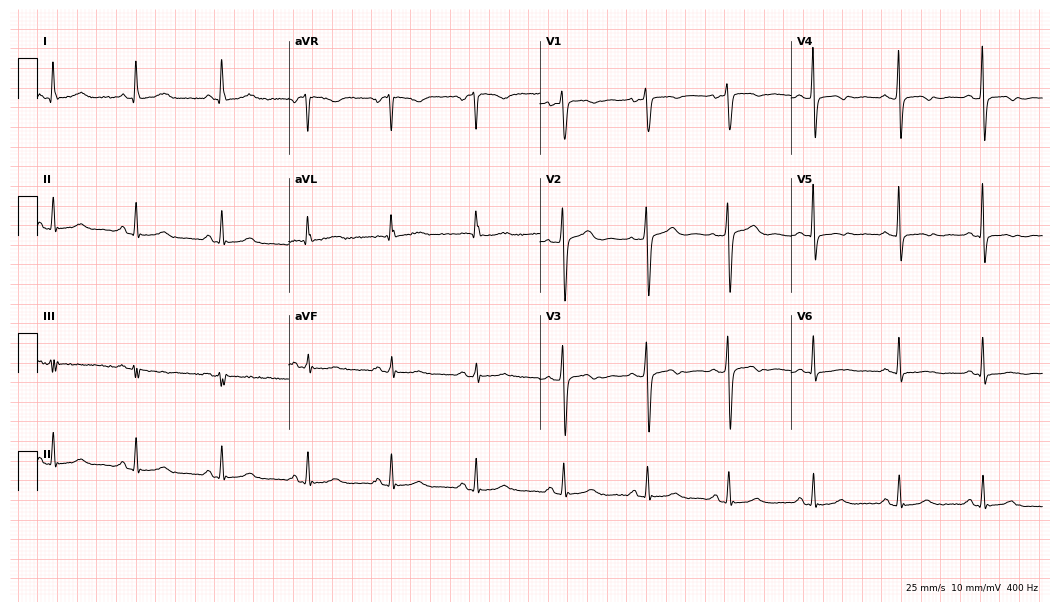
Standard 12-lead ECG recorded from a female patient, 47 years old (10.2-second recording at 400 Hz). Read as a normal ECG.